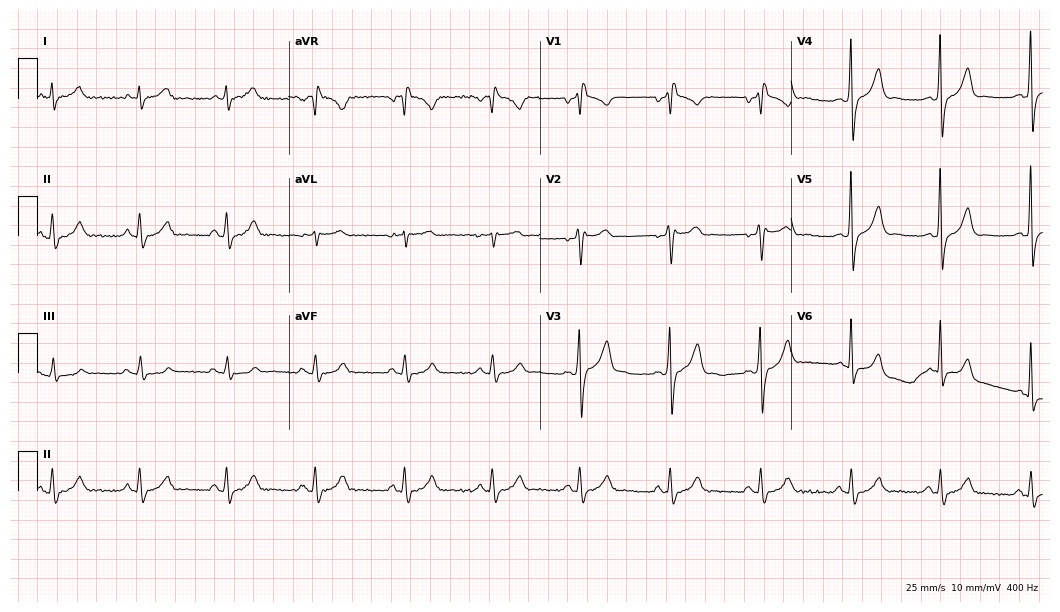
Electrocardiogram (10.2-second recording at 400 Hz), a 38-year-old man. Interpretation includes right bundle branch block.